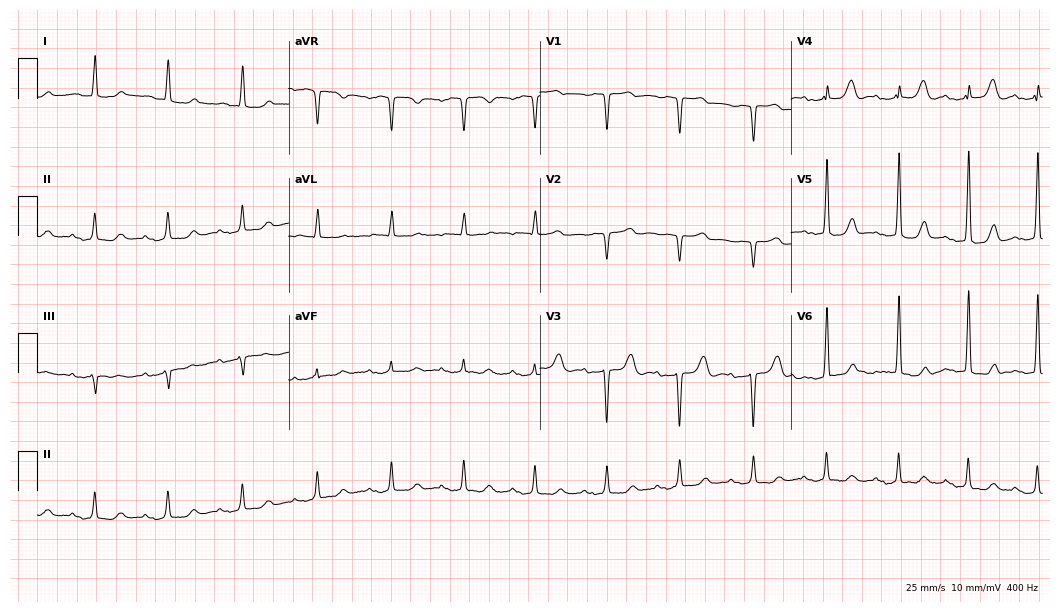
ECG — an 83-year-old female. Labelled as a normal ECG.